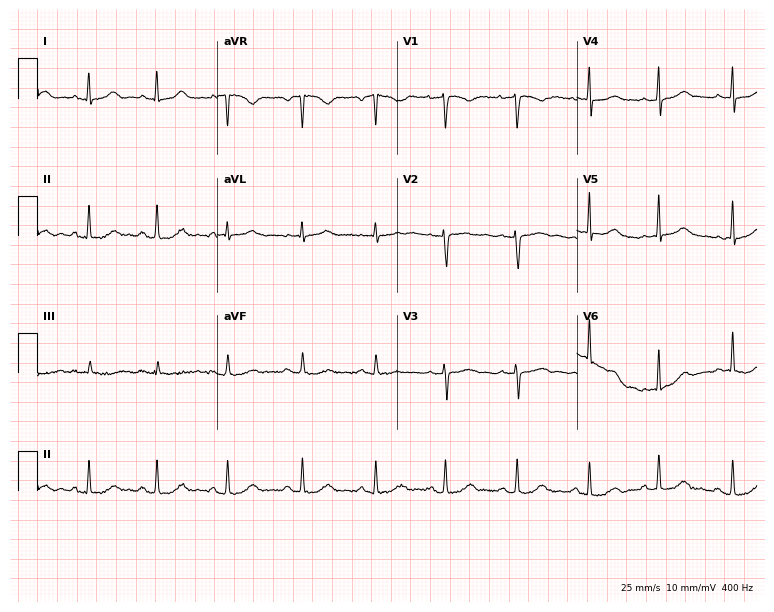
Standard 12-lead ECG recorded from a female, 26 years old (7.3-second recording at 400 Hz). Read as a normal ECG.